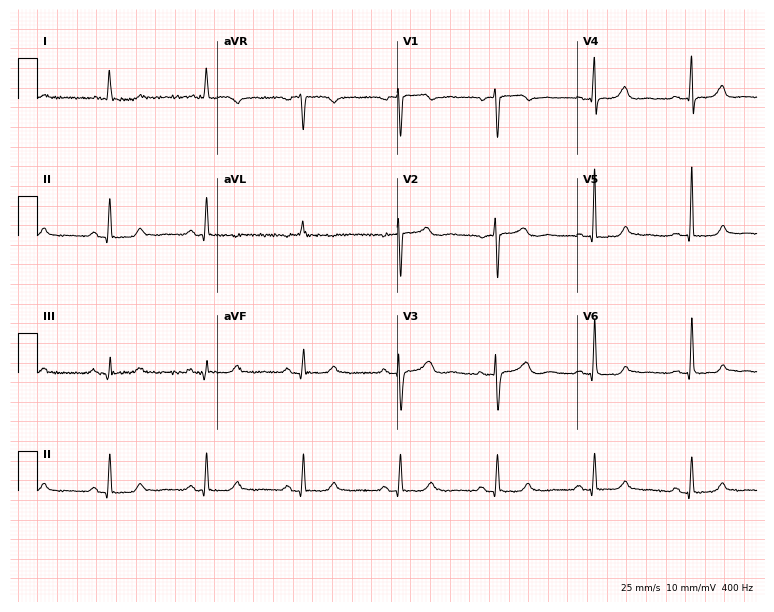
Resting 12-lead electrocardiogram. Patient: a 67-year-old female. None of these six findings is recorded: first-degree AV block, right bundle branch block, left bundle branch block, sinus bradycardia, atrial fibrillation, sinus tachycardia.